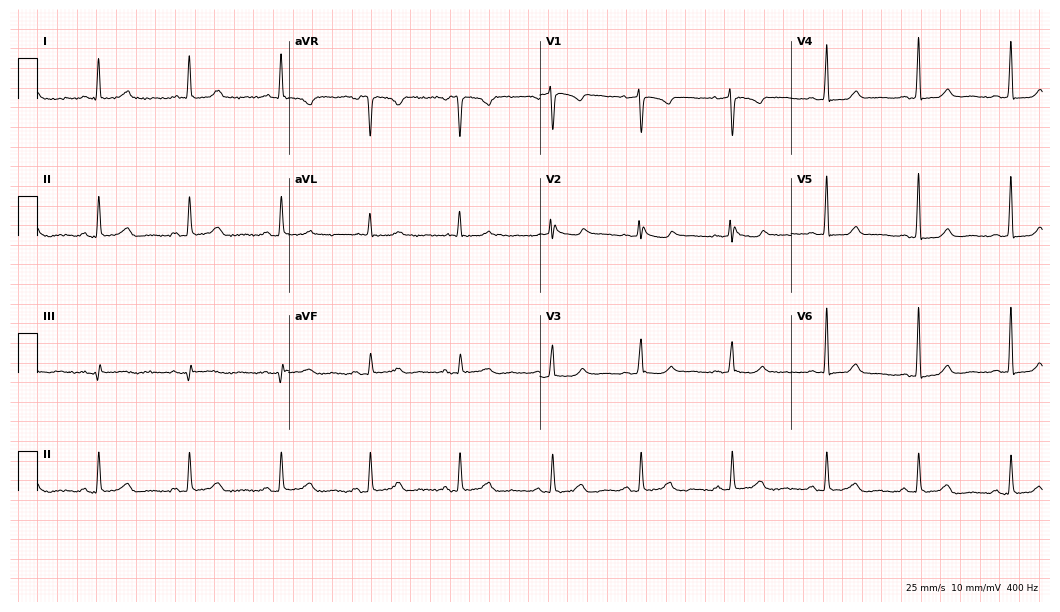
Standard 12-lead ECG recorded from a 57-year-old female patient (10.2-second recording at 400 Hz). None of these six findings is recorded: first-degree AV block, right bundle branch block (RBBB), left bundle branch block (LBBB), sinus bradycardia, atrial fibrillation (AF), sinus tachycardia.